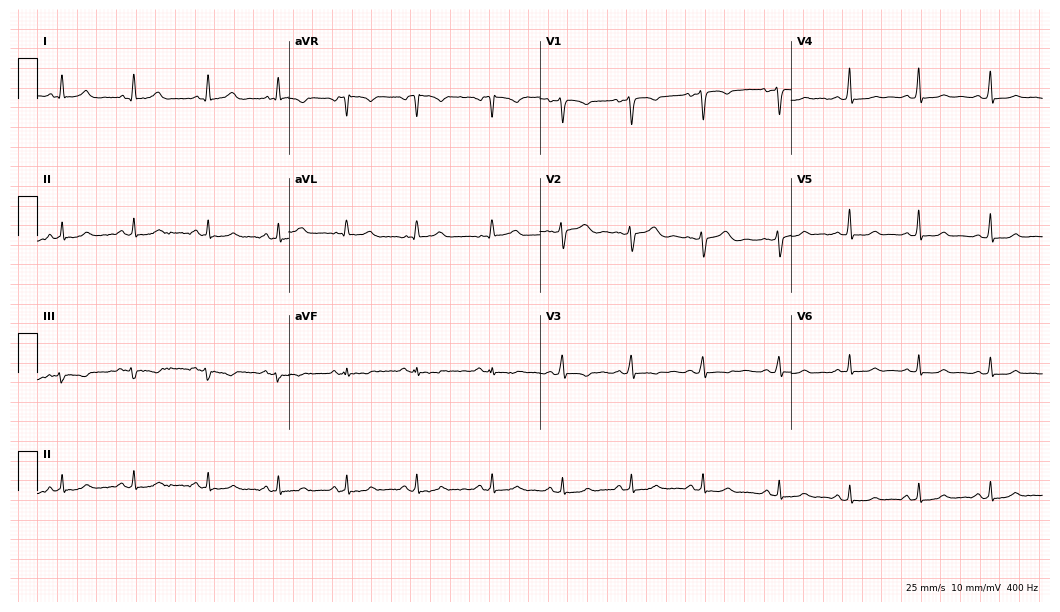
ECG — a 23-year-old female. Labelled as a normal ECG.